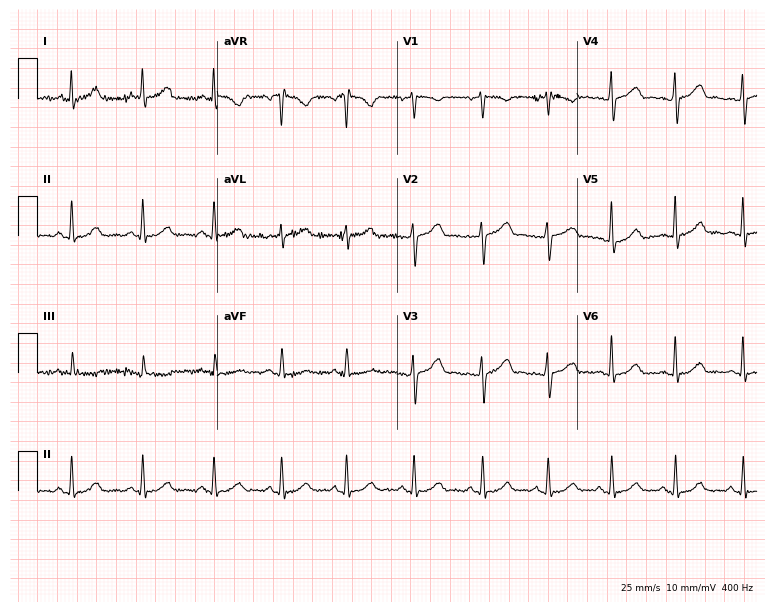
ECG (7.3-second recording at 400 Hz) — a woman, 38 years old. Labelled as a normal ECG.